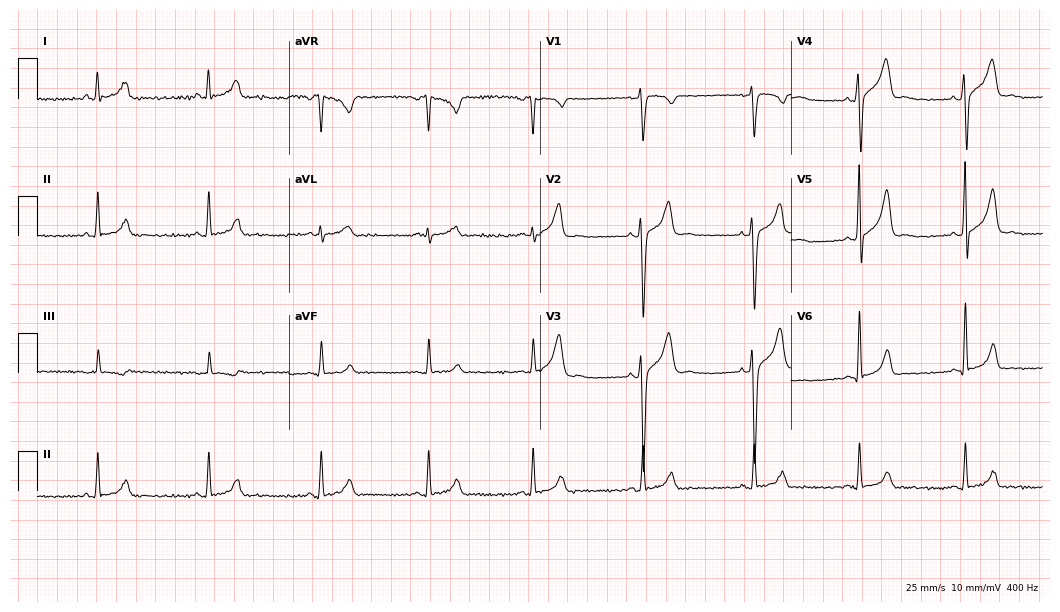
Resting 12-lead electrocardiogram (10.2-second recording at 400 Hz). Patient: a man, 39 years old. Read as a normal ECG.